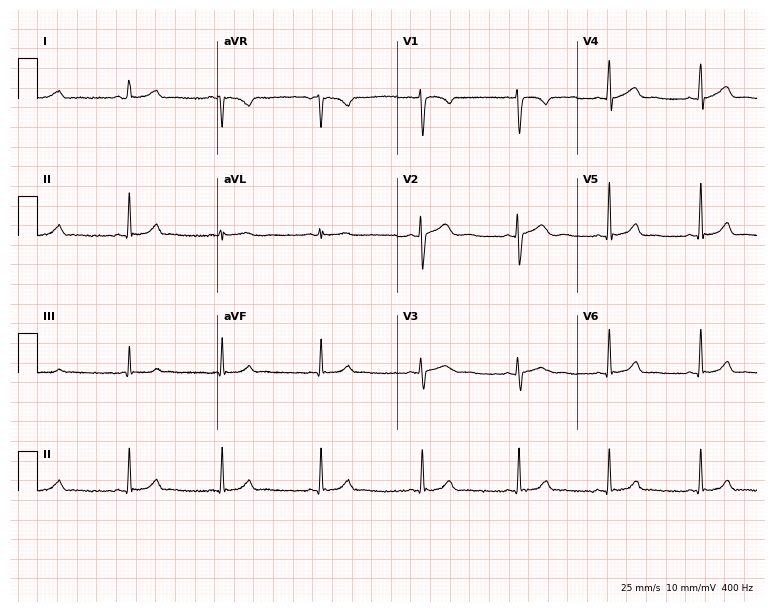
Electrocardiogram (7.3-second recording at 400 Hz), a 22-year-old woman. Overall reading on record: normal ECG.